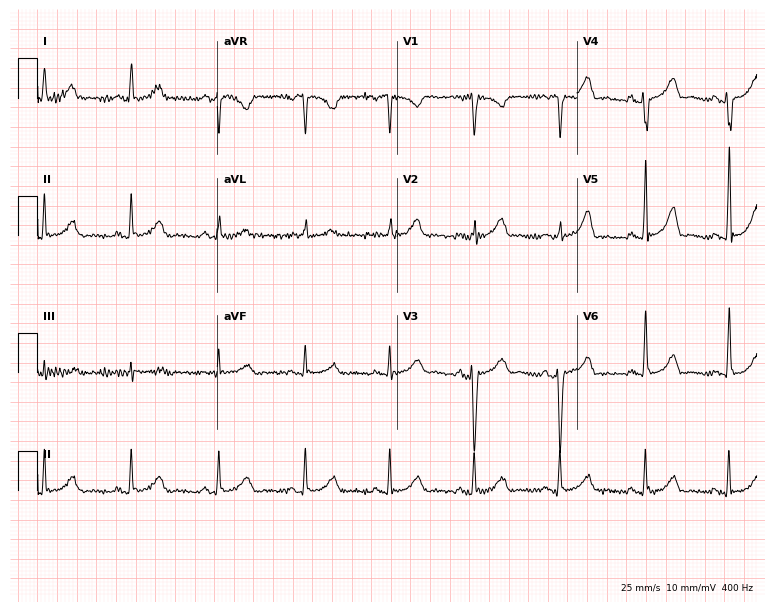
12-lead ECG from a 67-year-old female patient. Recorded interpretation: within normal limits.